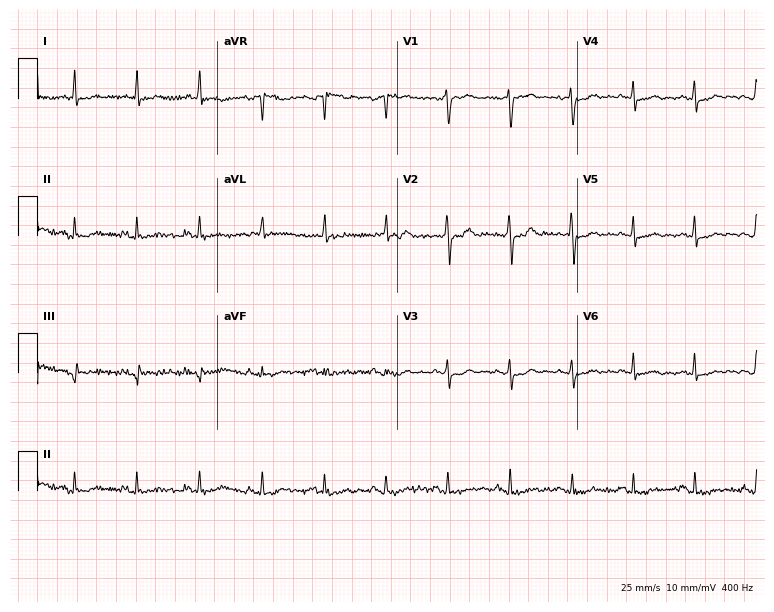
12-lead ECG (7.3-second recording at 400 Hz) from a 72-year-old female patient. Screened for six findings — first-degree AV block, right bundle branch block, left bundle branch block, sinus bradycardia, atrial fibrillation, sinus tachycardia — none is recorded.